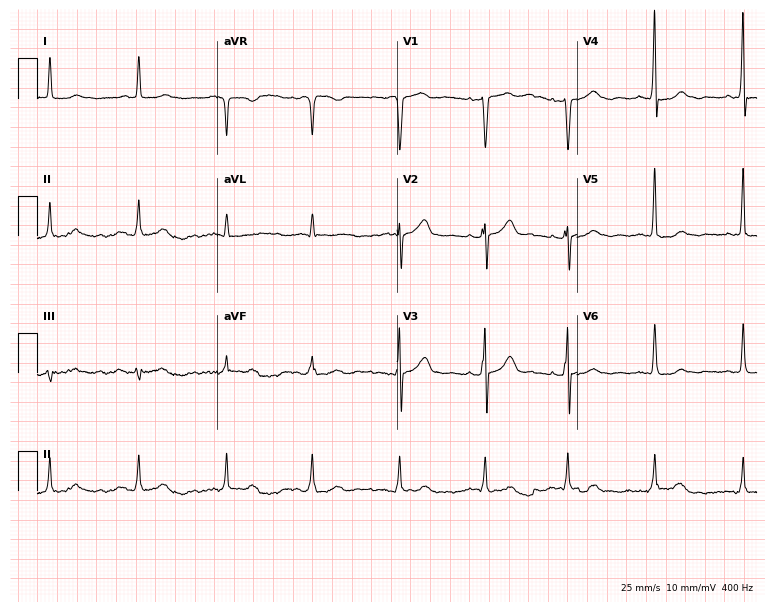
12-lead ECG from a male patient, 78 years old. Recorded interpretation: within normal limits.